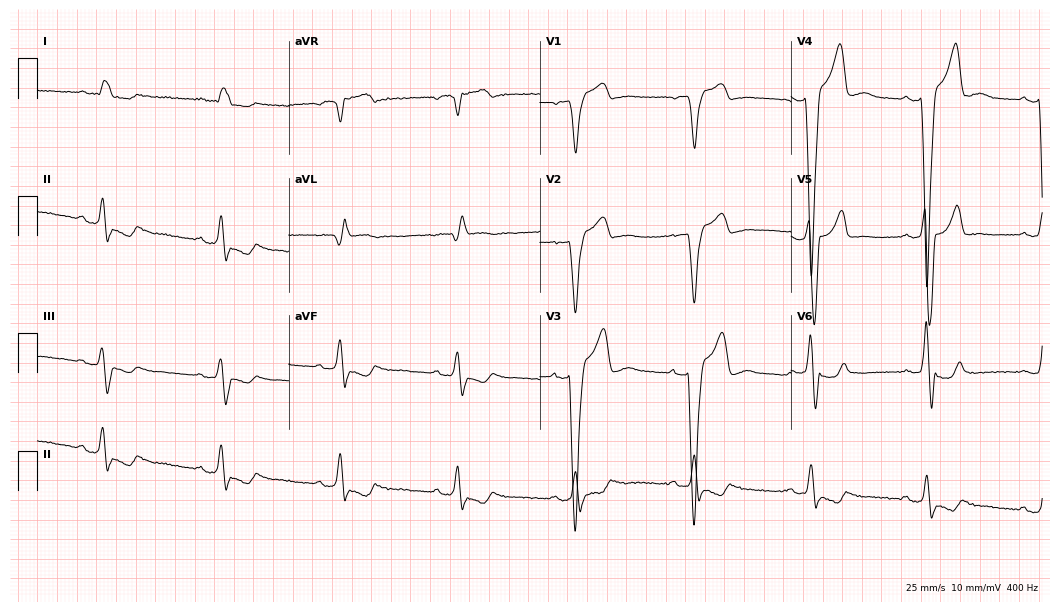
12-lead ECG from a 67-year-old male patient. Findings include left bundle branch block, sinus bradycardia (a sinus rate of 50 beats per minute or less).